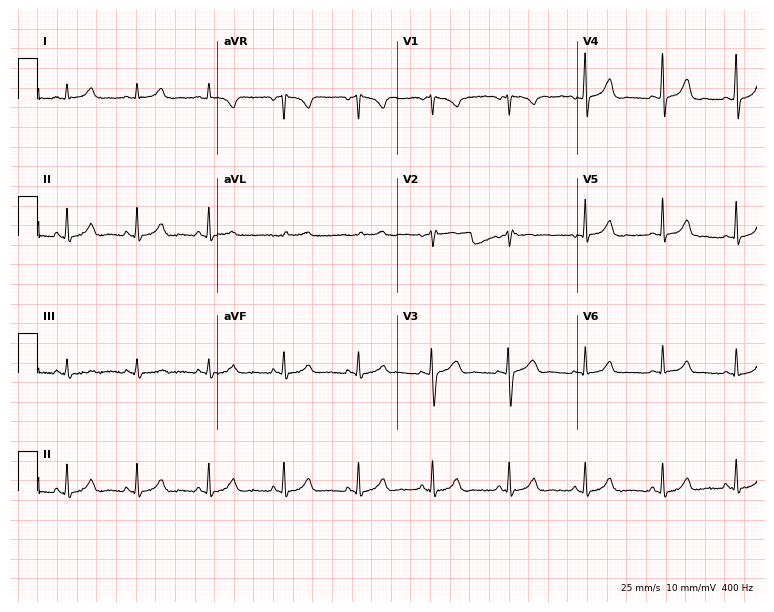
ECG (7.3-second recording at 400 Hz) — a 28-year-old female. Labelled as a normal ECG.